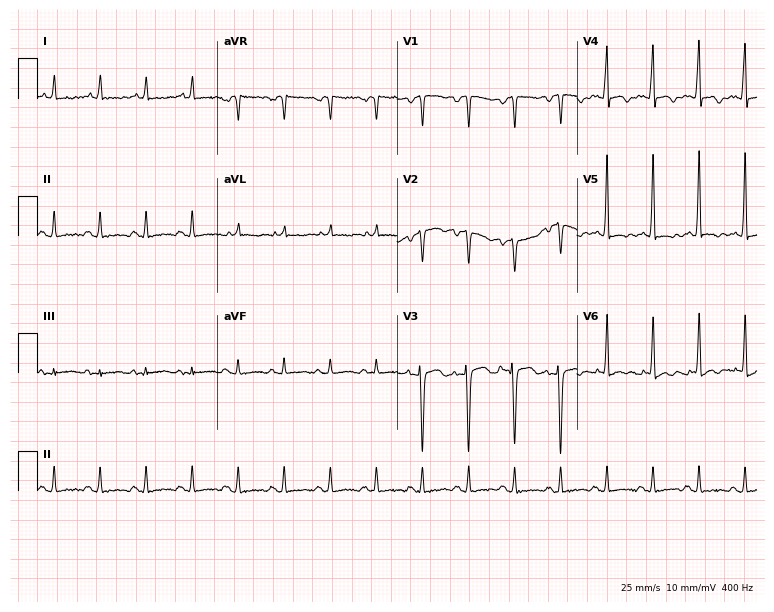
Standard 12-lead ECG recorded from a male patient, 33 years old. The tracing shows sinus tachycardia (a sinus rate of 100 beats per minute or more).